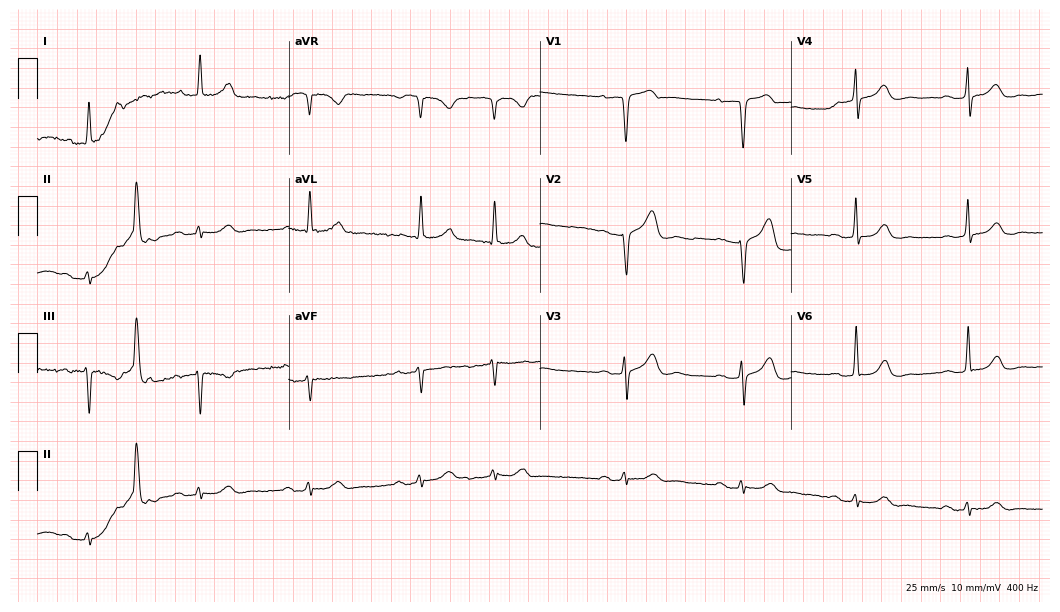
12-lead ECG from an 80-year-old male patient (10.2-second recording at 400 Hz). Shows first-degree AV block.